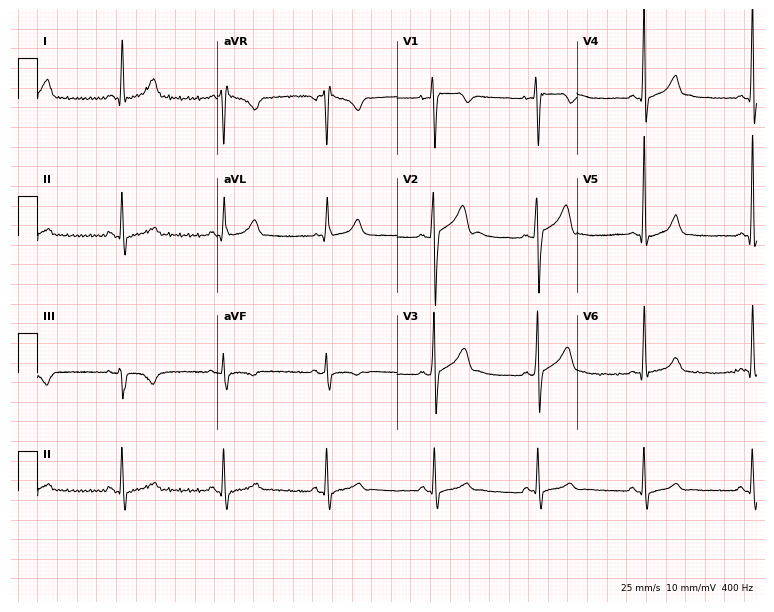
12-lead ECG from a 22-year-old male. Labelled as a normal ECG.